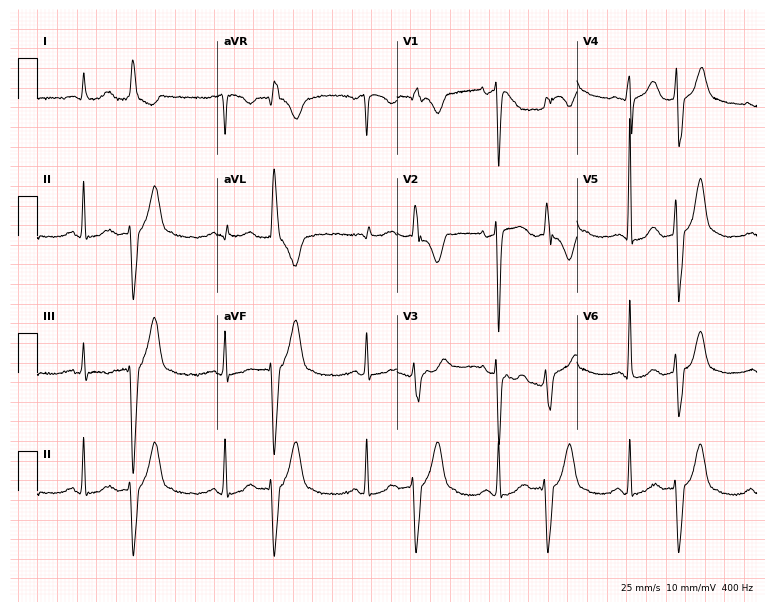
12-lead ECG (7.3-second recording at 400 Hz) from a 67-year-old female. Screened for six findings — first-degree AV block, right bundle branch block, left bundle branch block, sinus bradycardia, atrial fibrillation, sinus tachycardia — none is recorded. Other findings, if any, are not listed.